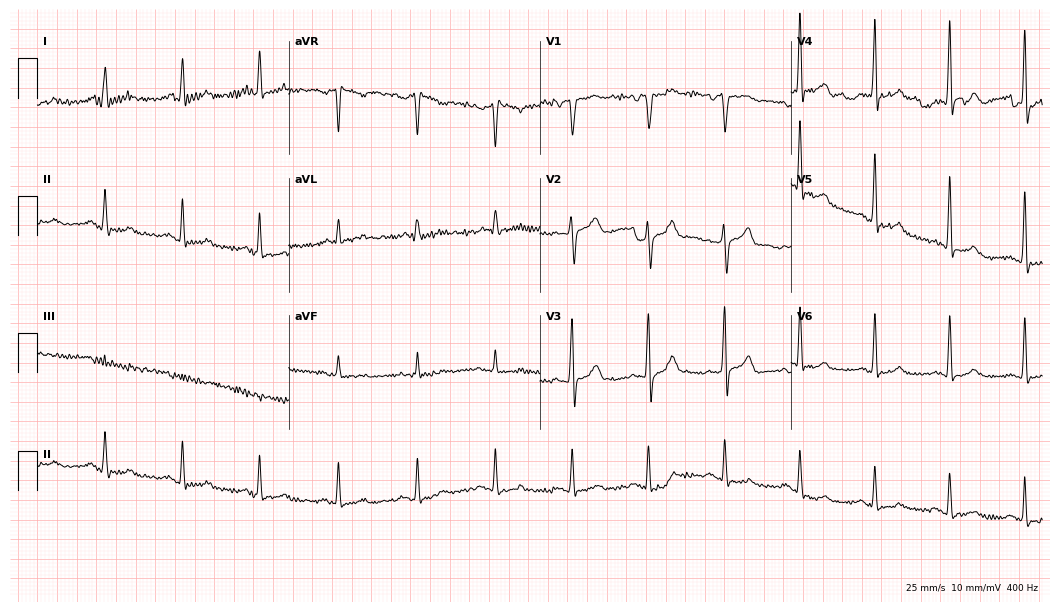
Electrocardiogram, a 58-year-old male patient. Of the six screened findings (first-degree AV block, right bundle branch block, left bundle branch block, sinus bradycardia, atrial fibrillation, sinus tachycardia), none is recorded.